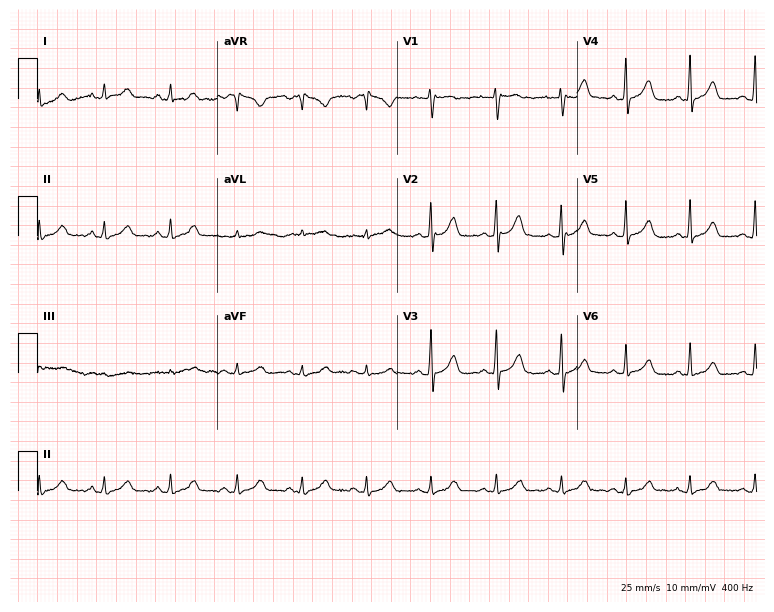
12-lead ECG from a 41-year-old female patient. No first-degree AV block, right bundle branch block, left bundle branch block, sinus bradycardia, atrial fibrillation or sinus tachycardia recorded for this tracing.